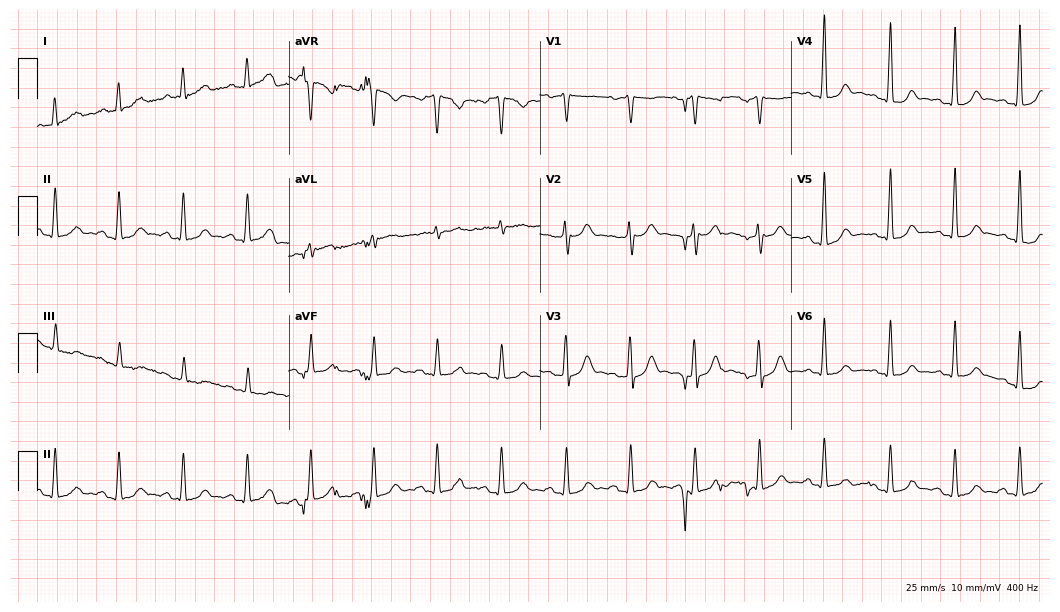
Electrocardiogram, a 54-year-old male patient. Overall reading on record: normal ECG.